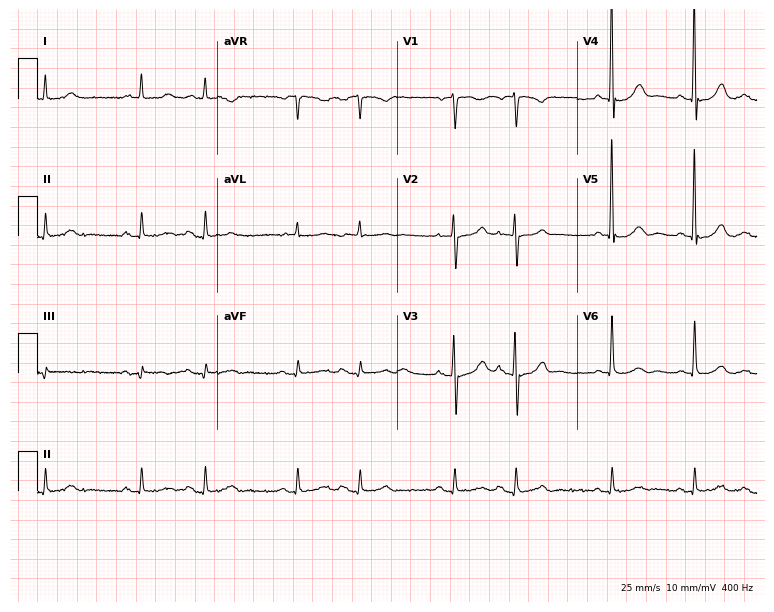
Resting 12-lead electrocardiogram (7.3-second recording at 400 Hz). Patient: a male, 71 years old. None of these six findings is recorded: first-degree AV block, right bundle branch block, left bundle branch block, sinus bradycardia, atrial fibrillation, sinus tachycardia.